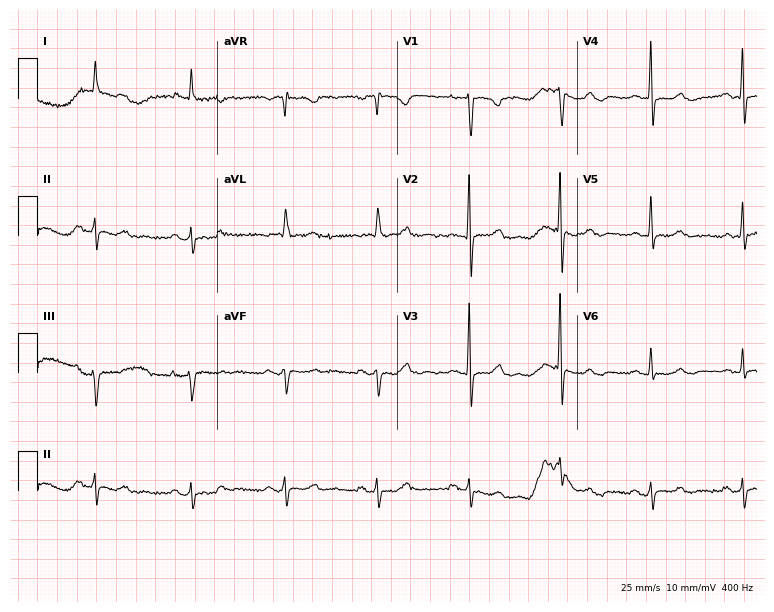
Electrocardiogram (7.3-second recording at 400 Hz), a woman, 72 years old. Of the six screened findings (first-degree AV block, right bundle branch block (RBBB), left bundle branch block (LBBB), sinus bradycardia, atrial fibrillation (AF), sinus tachycardia), none is recorded.